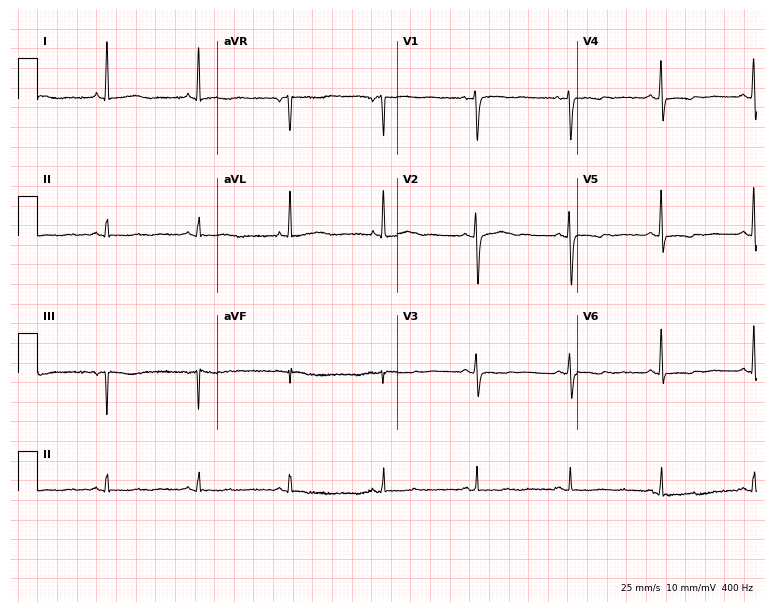
Electrocardiogram (7.3-second recording at 400 Hz), an 85-year-old female. Of the six screened findings (first-degree AV block, right bundle branch block, left bundle branch block, sinus bradycardia, atrial fibrillation, sinus tachycardia), none is recorded. Only these six findings were labelled.